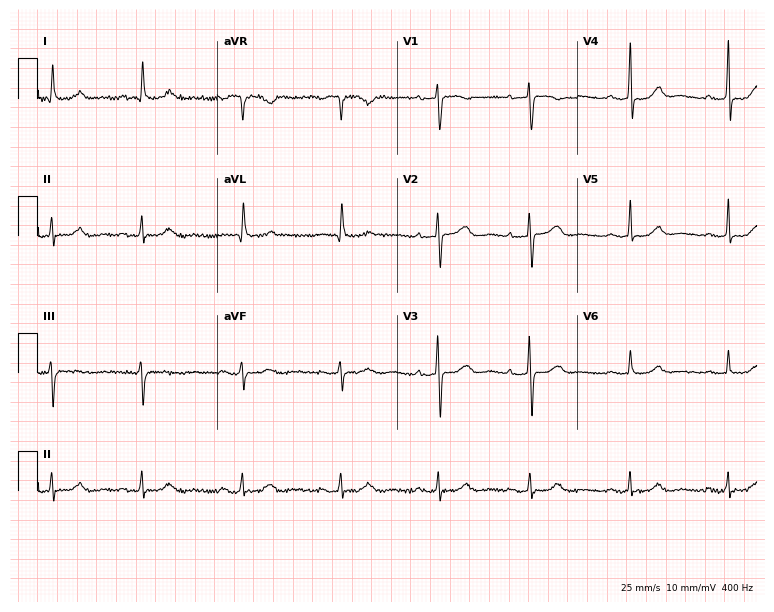
12-lead ECG (7.3-second recording at 400 Hz) from a woman, 73 years old. Labelled as a normal ECG.